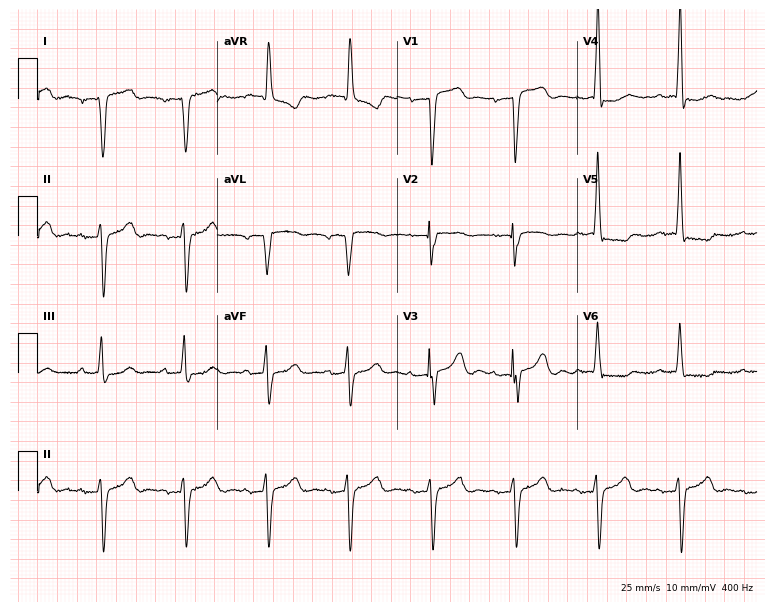
Resting 12-lead electrocardiogram. Patient: a female, 84 years old. None of these six findings is recorded: first-degree AV block, right bundle branch block, left bundle branch block, sinus bradycardia, atrial fibrillation, sinus tachycardia. Only these six findings were labelled.